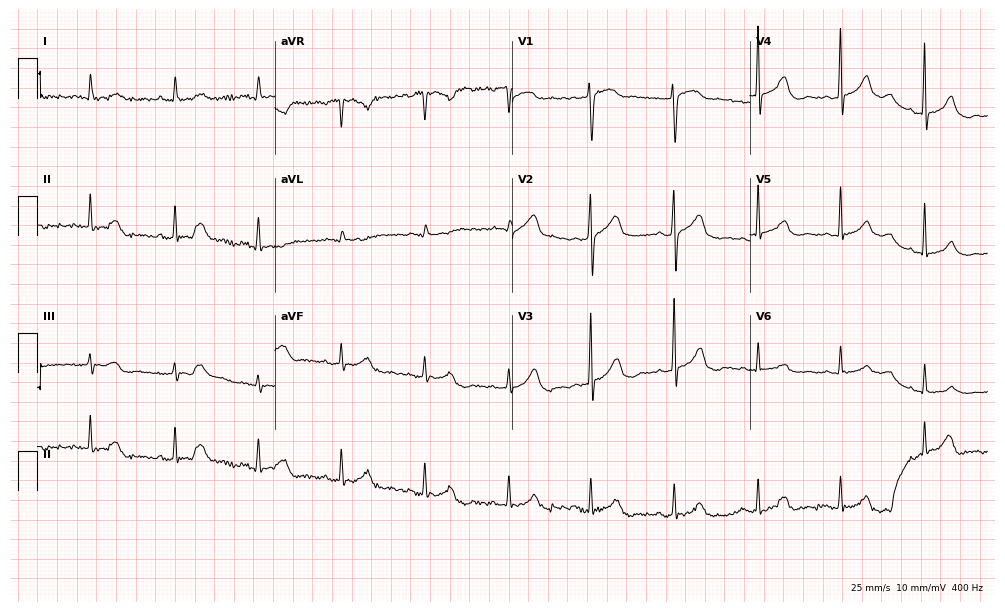
12-lead ECG from a female, 59 years old. Labelled as a normal ECG.